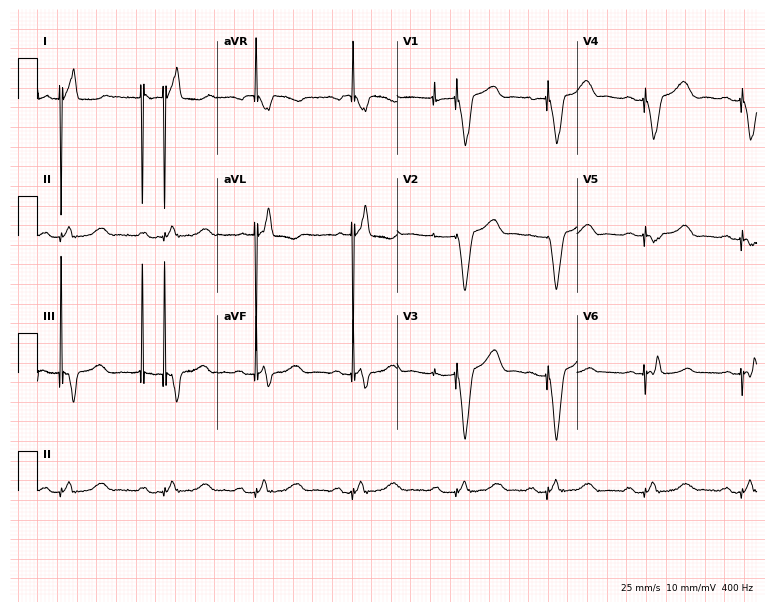
12-lead ECG from a woman, 51 years old. Screened for six findings — first-degree AV block, right bundle branch block, left bundle branch block, sinus bradycardia, atrial fibrillation, sinus tachycardia — none is recorded. Findings outside these six are not listed.